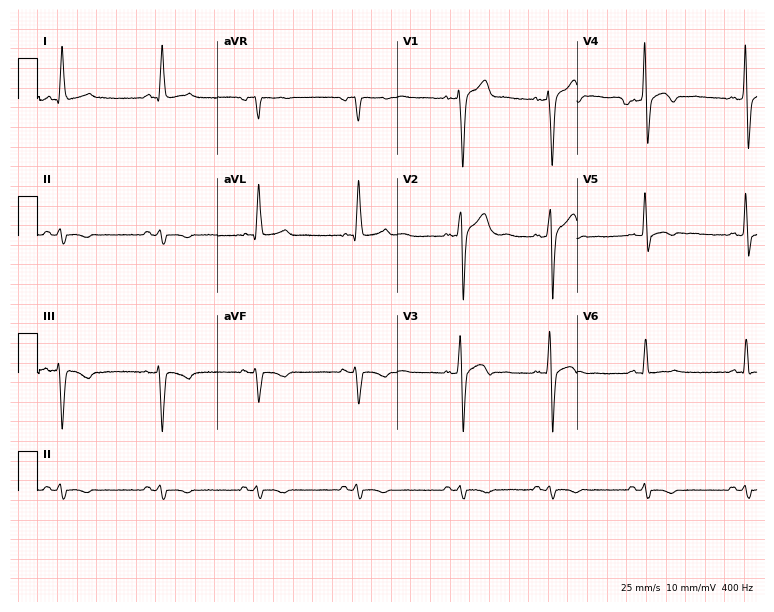
12-lead ECG (7.3-second recording at 400 Hz) from a male, 47 years old. Screened for six findings — first-degree AV block, right bundle branch block (RBBB), left bundle branch block (LBBB), sinus bradycardia, atrial fibrillation (AF), sinus tachycardia — none is recorded. Only these six findings were labelled.